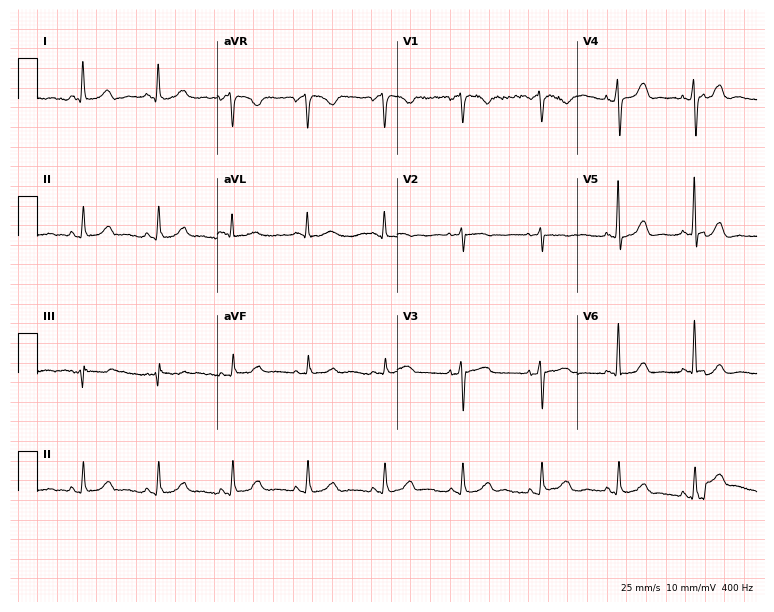
Standard 12-lead ECG recorded from a female patient, 63 years old (7.3-second recording at 400 Hz). Read as a normal ECG.